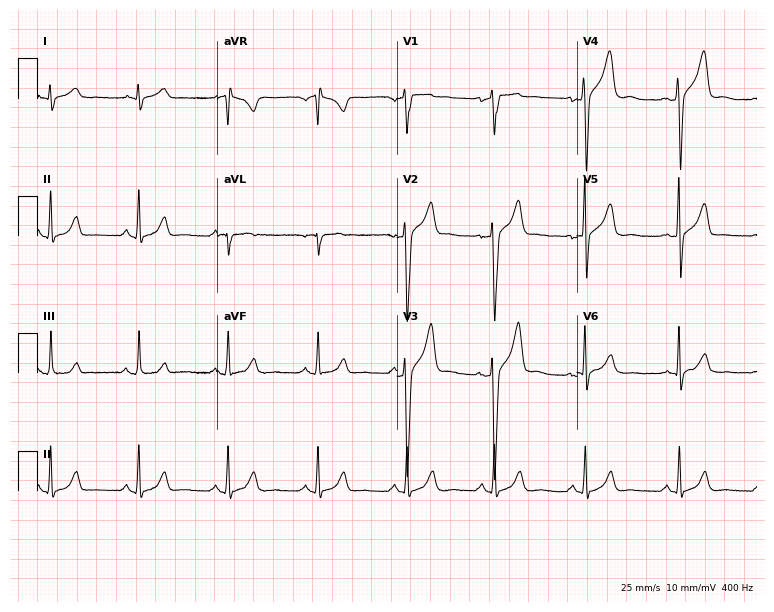
12-lead ECG from a 49-year-old male. No first-degree AV block, right bundle branch block, left bundle branch block, sinus bradycardia, atrial fibrillation or sinus tachycardia recorded for this tracing. Findings outside these six are not listed.